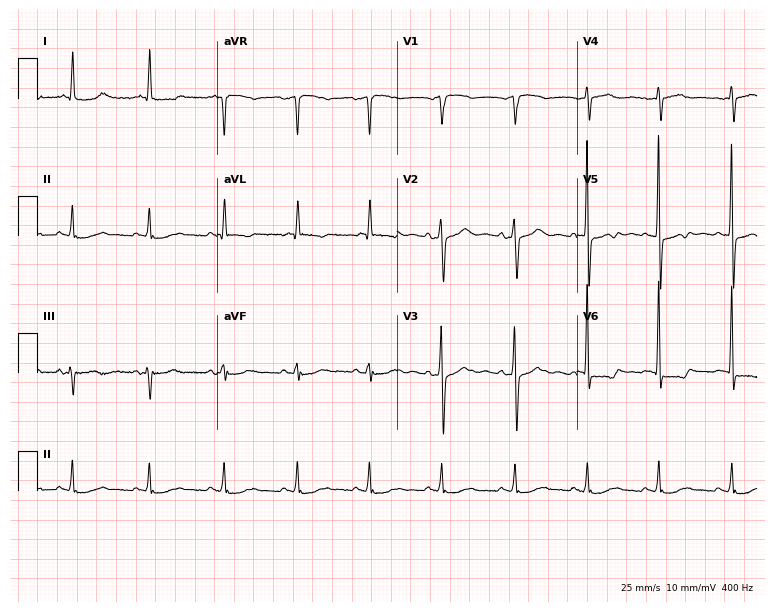
Electrocardiogram (7.3-second recording at 400 Hz), a 78-year-old female. Of the six screened findings (first-degree AV block, right bundle branch block, left bundle branch block, sinus bradycardia, atrial fibrillation, sinus tachycardia), none is recorded.